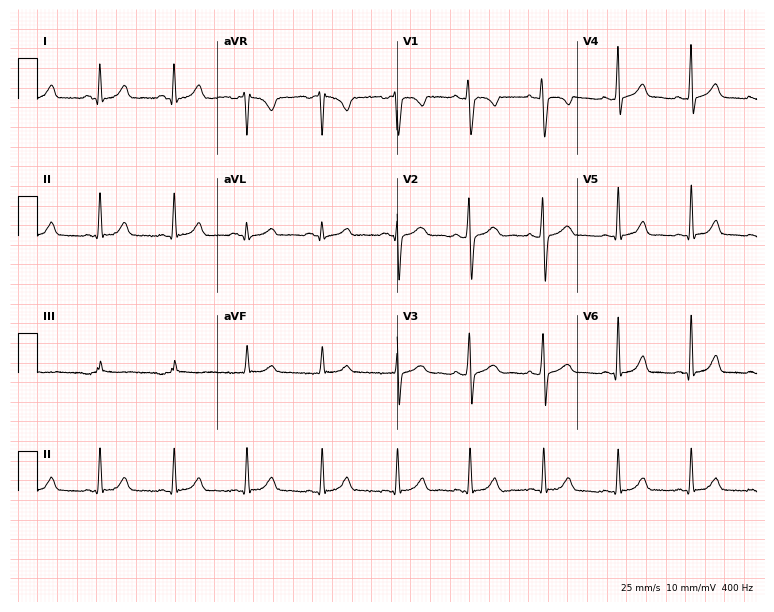
12-lead ECG (7.3-second recording at 400 Hz) from a female patient, 42 years old. Labelled as a normal ECG.